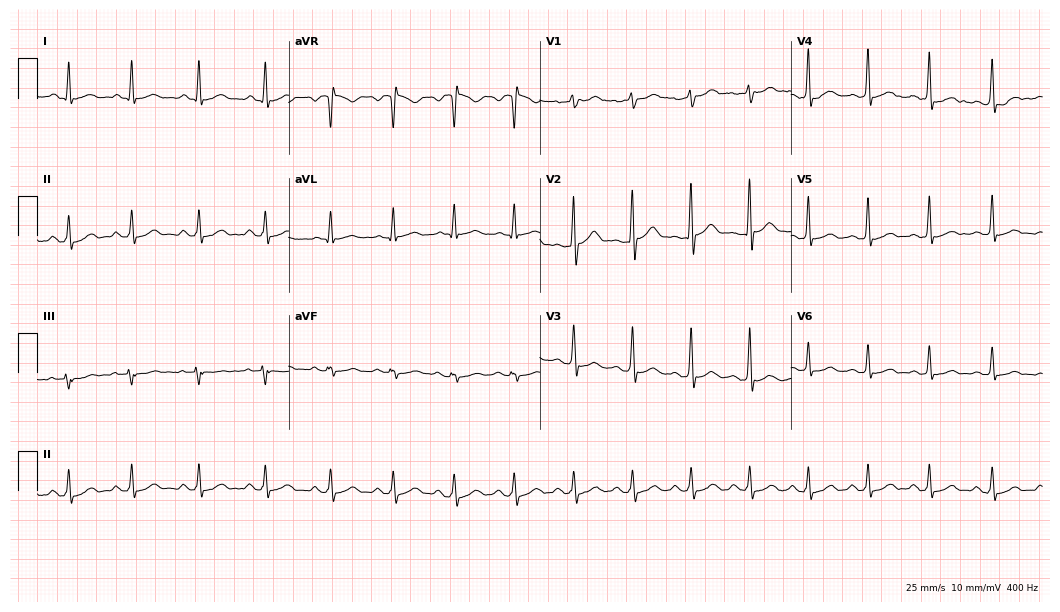
Electrocardiogram (10.2-second recording at 400 Hz), a 33-year-old male patient. Overall reading on record: normal ECG.